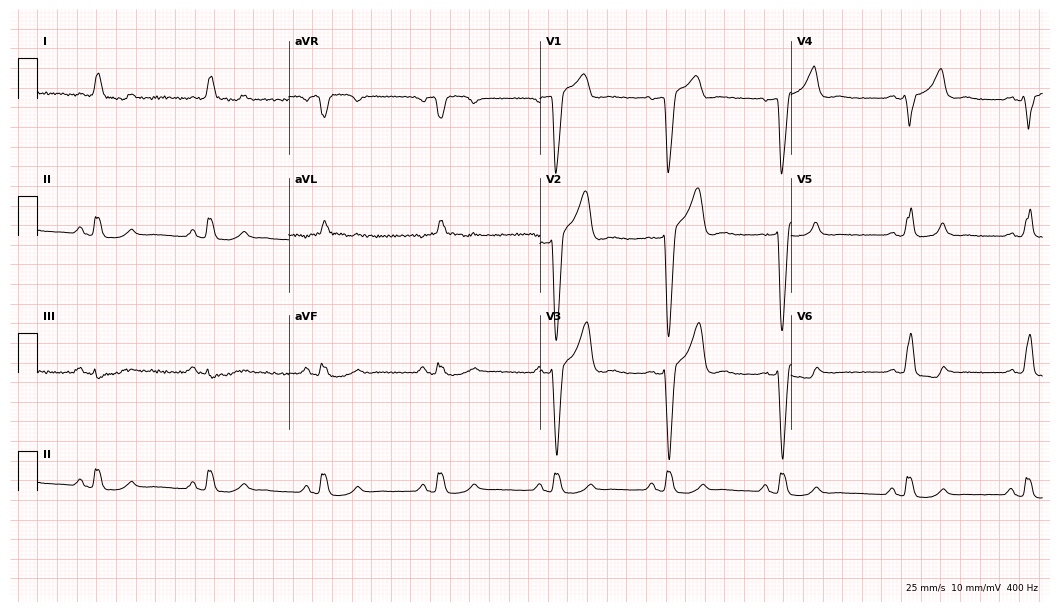
12-lead ECG from a 77-year-old man. Findings include left bundle branch block.